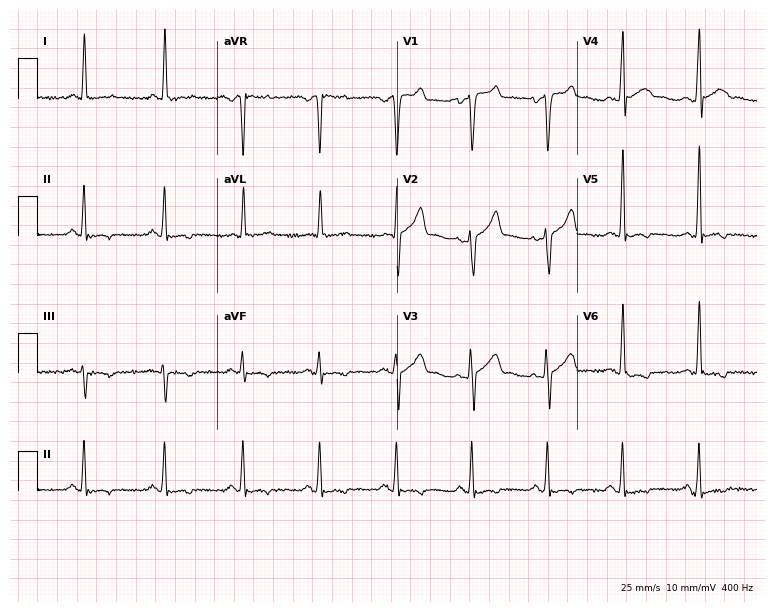
Resting 12-lead electrocardiogram (7.3-second recording at 400 Hz). Patient: a 31-year-old man. None of these six findings is recorded: first-degree AV block, right bundle branch block, left bundle branch block, sinus bradycardia, atrial fibrillation, sinus tachycardia. Findings outside these six are not listed.